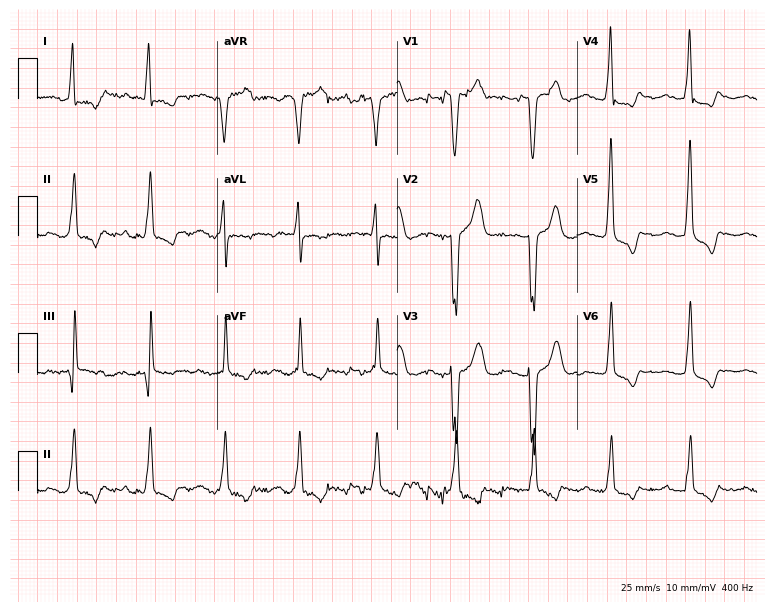
12-lead ECG from a female patient, 82 years old (7.3-second recording at 400 Hz). No first-degree AV block, right bundle branch block (RBBB), left bundle branch block (LBBB), sinus bradycardia, atrial fibrillation (AF) or sinus tachycardia recorded for this tracing.